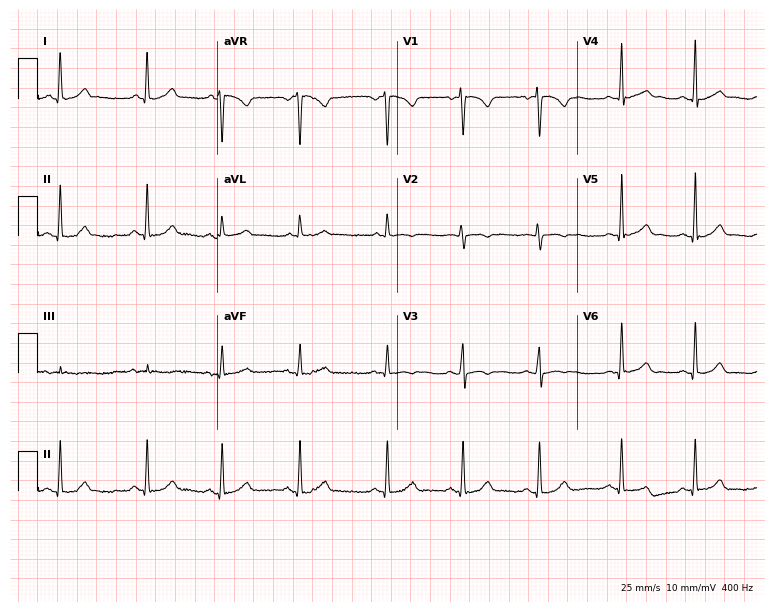
ECG (7.3-second recording at 400 Hz) — a female patient, 20 years old. Labelled as a normal ECG.